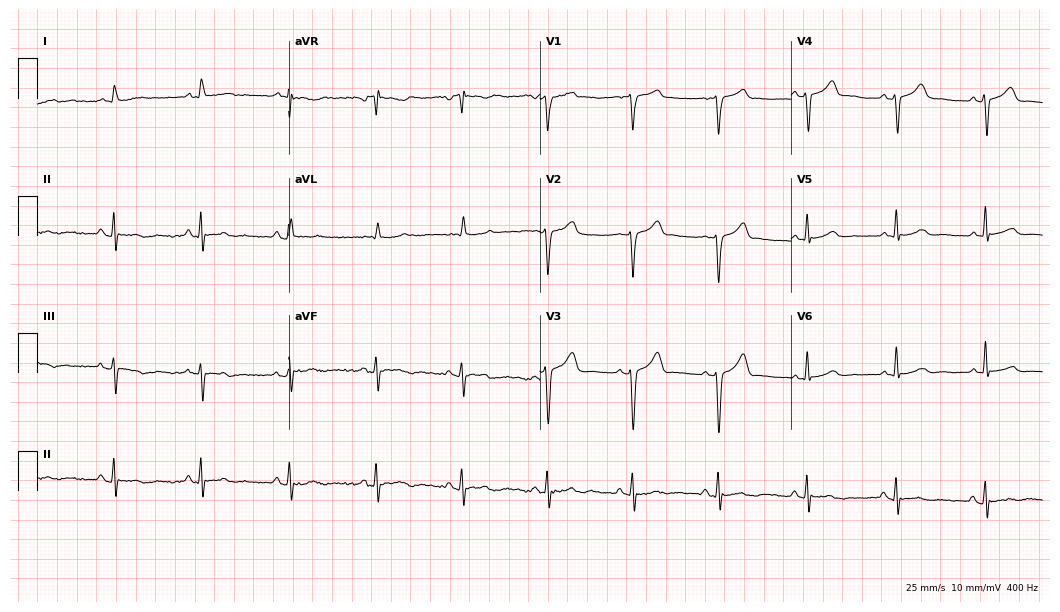
12-lead ECG from a male patient, 74 years old. Screened for six findings — first-degree AV block, right bundle branch block, left bundle branch block, sinus bradycardia, atrial fibrillation, sinus tachycardia — none is recorded. Other findings, if any, are not listed.